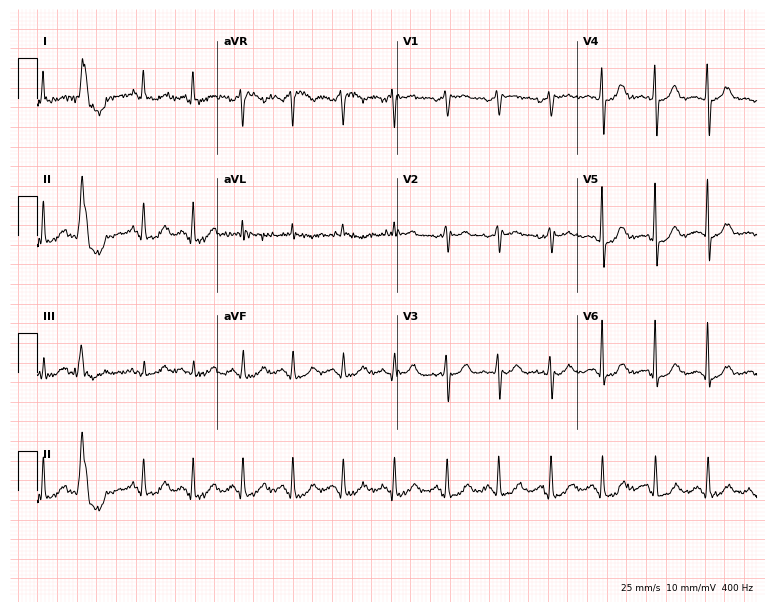
12-lead ECG from a female, 65 years old (7.3-second recording at 400 Hz). Shows sinus tachycardia (a sinus rate of 100 beats per minute or more).